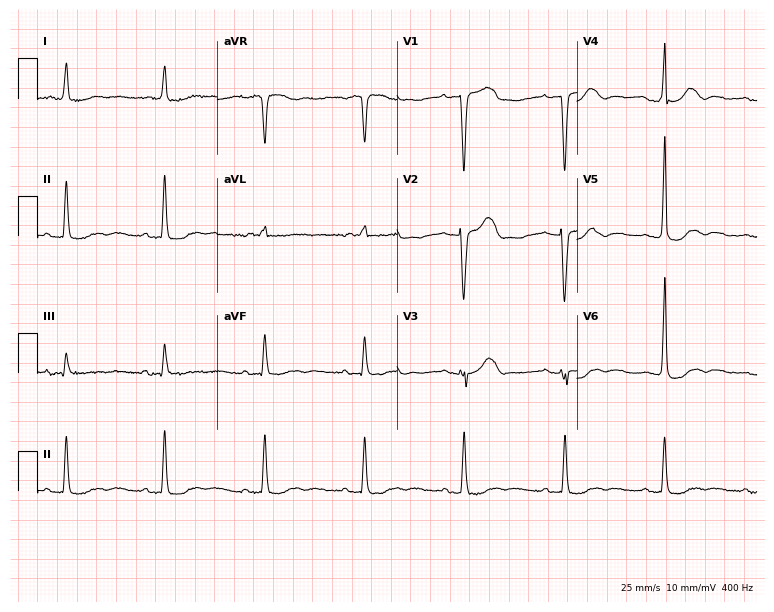
Standard 12-lead ECG recorded from an 85-year-old male patient. None of these six findings is recorded: first-degree AV block, right bundle branch block, left bundle branch block, sinus bradycardia, atrial fibrillation, sinus tachycardia.